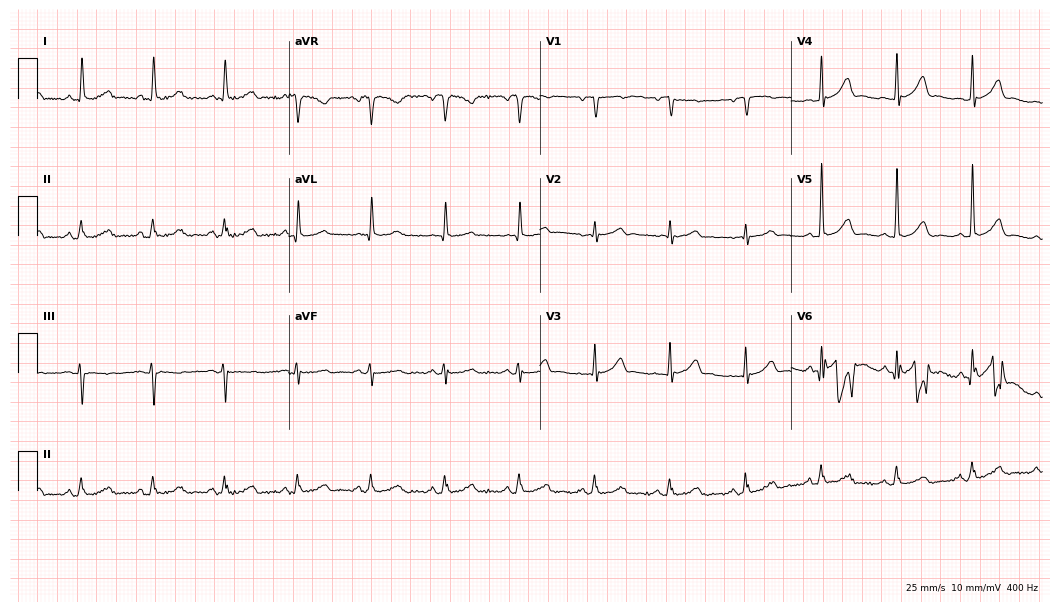
Standard 12-lead ECG recorded from a woman, 66 years old (10.2-second recording at 400 Hz). Read as a normal ECG.